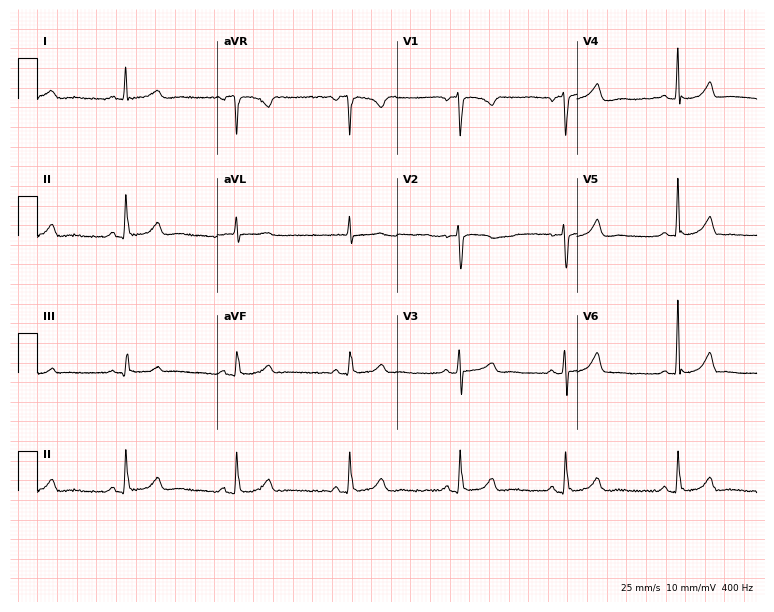
ECG (7.3-second recording at 400 Hz) — a 53-year-old female patient. Labelled as a normal ECG.